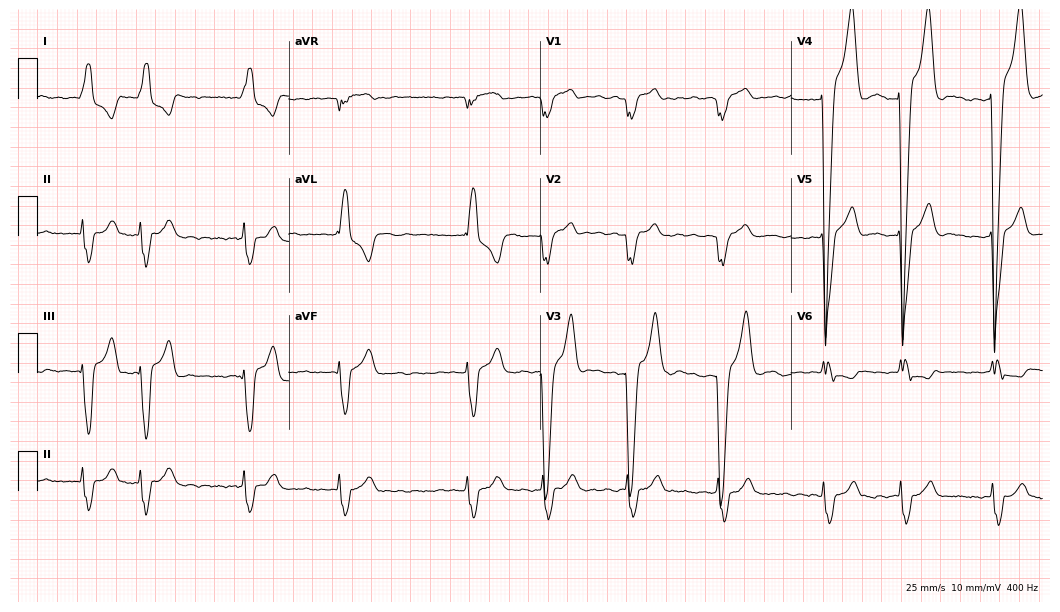
Resting 12-lead electrocardiogram. Patient: a 77-year-old woman. The tracing shows left bundle branch block (LBBB), atrial fibrillation (AF).